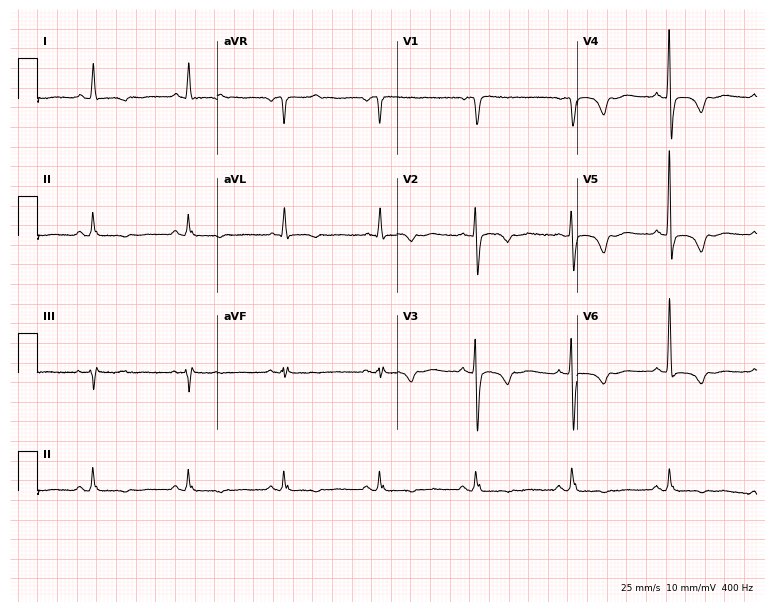
12-lead ECG from a female, 76 years old. Screened for six findings — first-degree AV block, right bundle branch block (RBBB), left bundle branch block (LBBB), sinus bradycardia, atrial fibrillation (AF), sinus tachycardia — none is recorded.